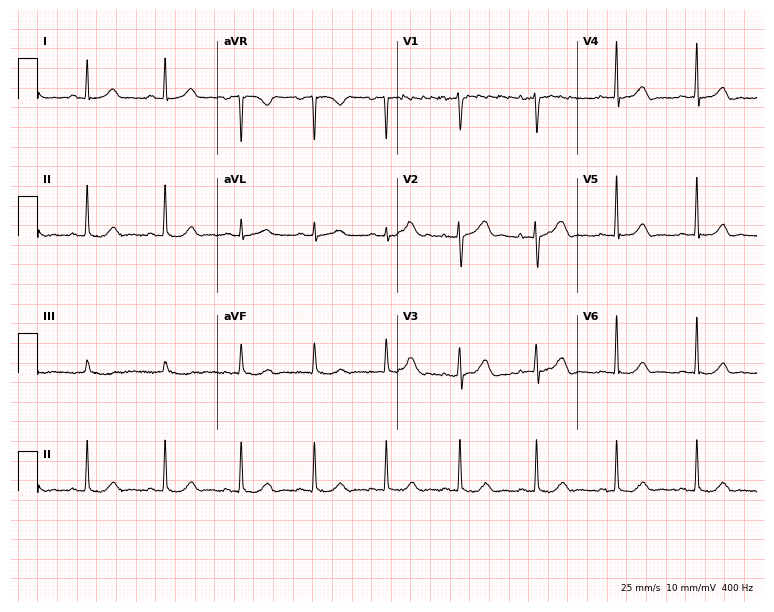
12-lead ECG (7.3-second recording at 400 Hz) from a woman, 32 years old. Screened for six findings — first-degree AV block, right bundle branch block, left bundle branch block, sinus bradycardia, atrial fibrillation, sinus tachycardia — none is recorded. Only these six findings were labelled.